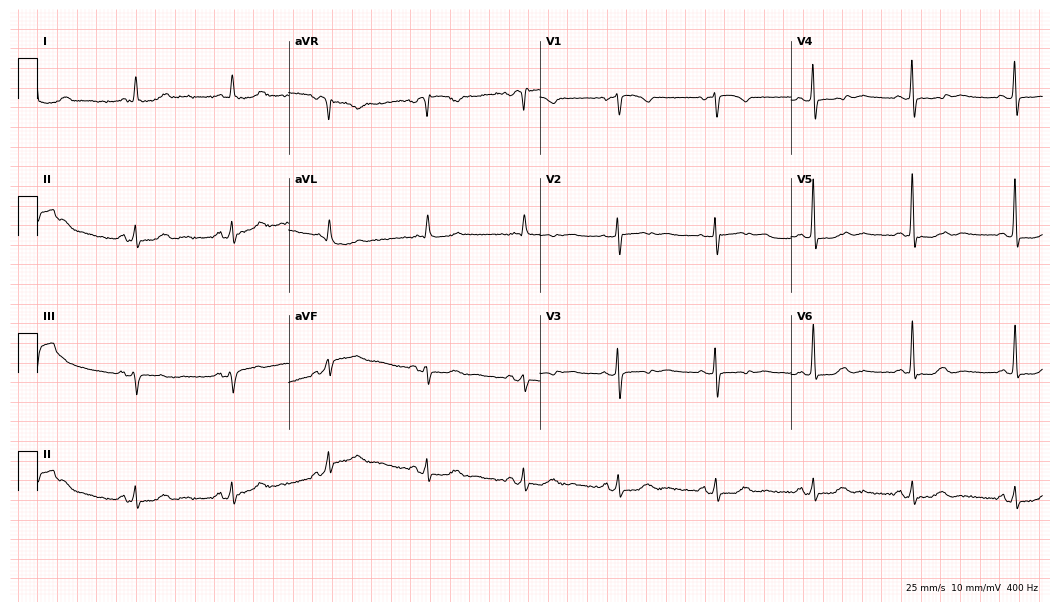
Resting 12-lead electrocardiogram (10.2-second recording at 400 Hz). Patient: a female, 58 years old. None of these six findings is recorded: first-degree AV block, right bundle branch block, left bundle branch block, sinus bradycardia, atrial fibrillation, sinus tachycardia.